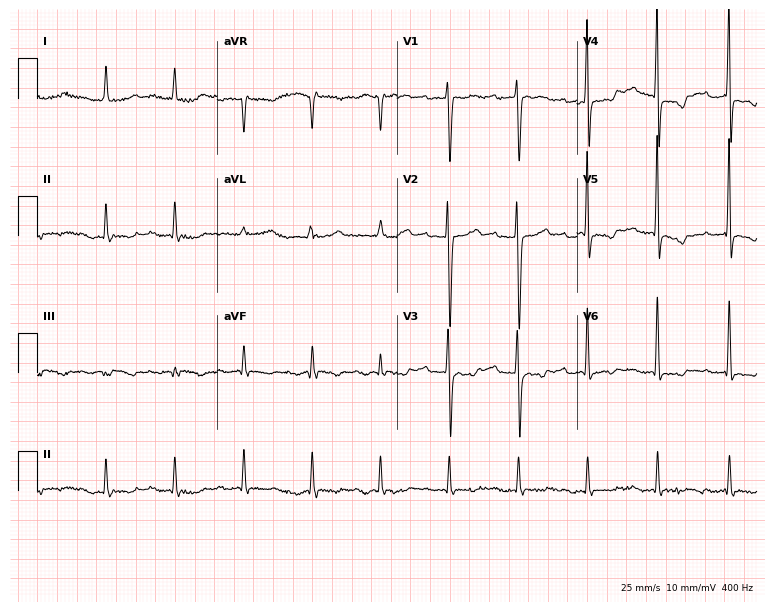
Electrocardiogram, a 77-year-old female patient. Interpretation includes first-degree AV block.